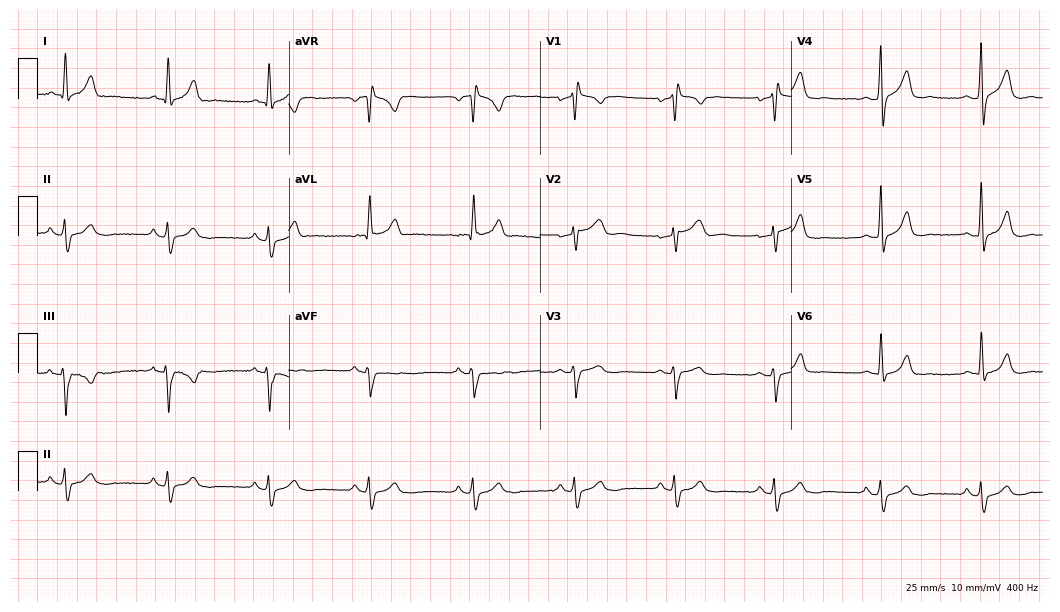
Standard 12-lead ECG recorded from a man, 35 years old. None of these six findings is recorded: first-degree AV block, right bundle branch block (RBBB), left bundle branch block (LBBB), sinus bradycardia, atrial fibrillation (AF), sinus tachycardia.